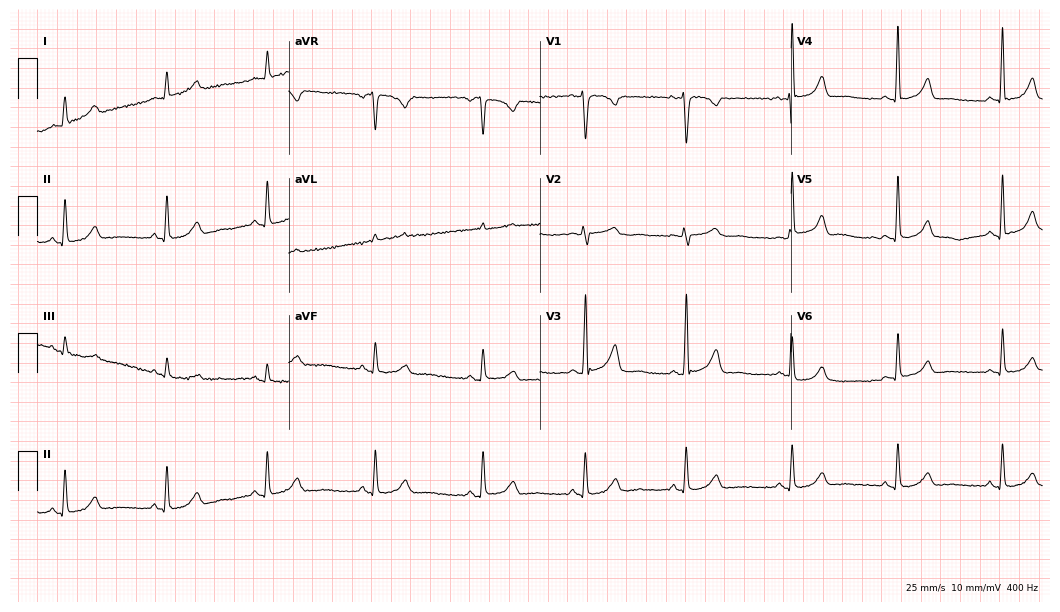
Standard 12-lead ECG recorded from a female, 49 years old (10.2-second recording at 400 Hz). Read as a normal ECG.